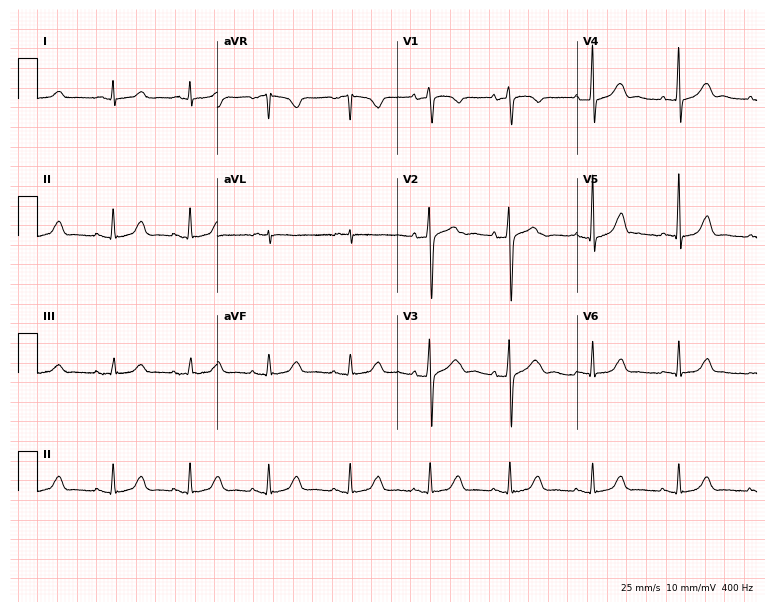
ECG (7.3-second recording at 400 Hz) — a female patient, 50 years old. Screened for six findings — first-degree AV block, right bundle branch block, left bundle branch block, sinus bradycardia, atrial fibrillation, sinus tachycardia — none is recorded.